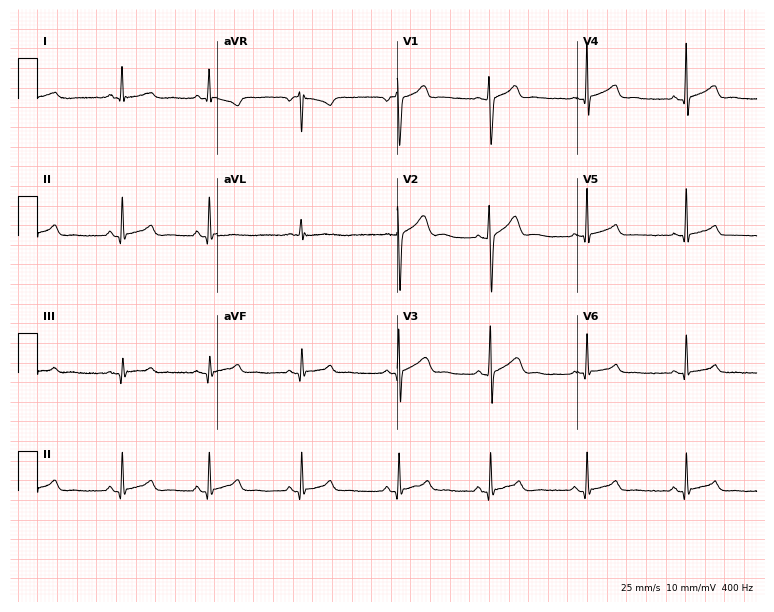
Standard 12-lead ECG recorded from a 37-year-old male (7.3-second recording at 400 Hz). Read as a normal ECG.